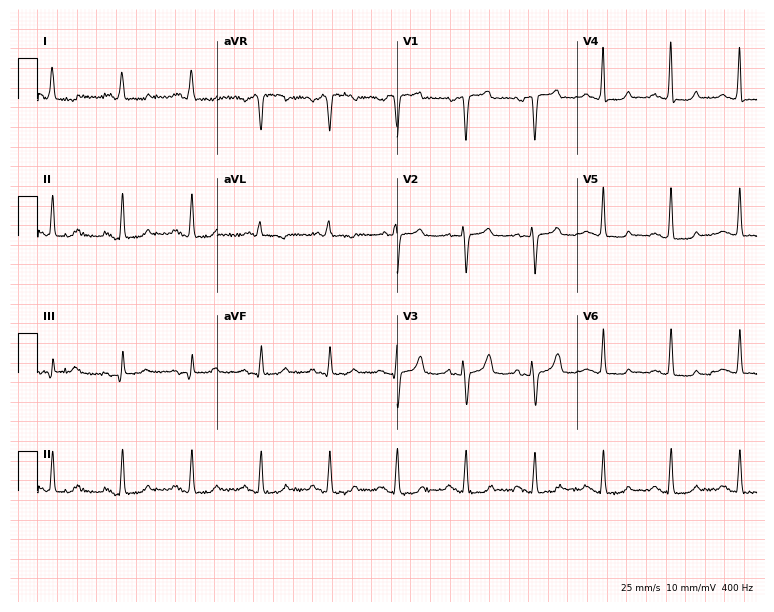
Resting 12-lead electrocardiogram (7.3-second recording at 400 Hz). Patient: an 83-year-old female. Read as a normal ECG.